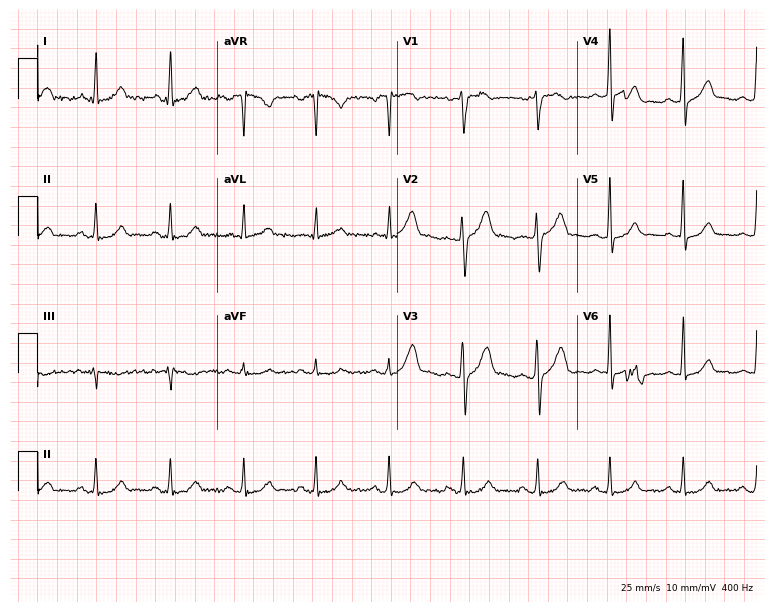
12-lead ECG from a 33-year-old woman. Recorded interpretation: within normal limits.